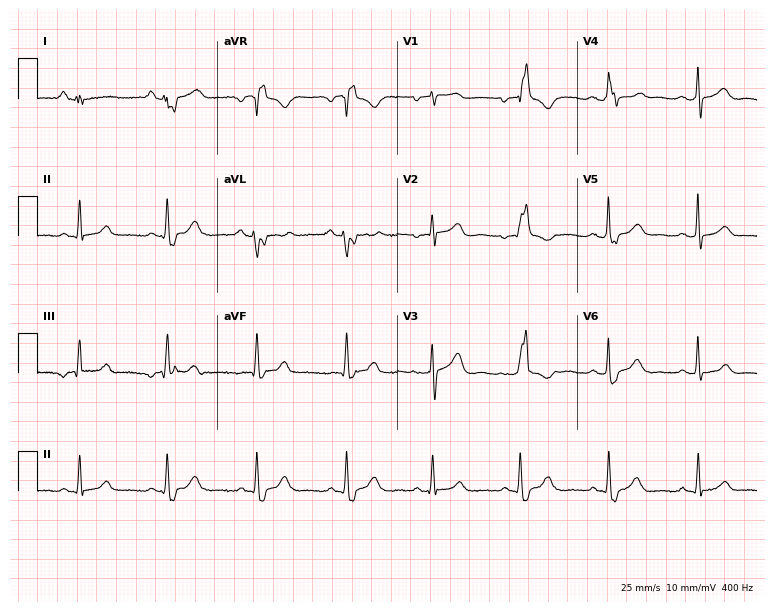
ECG (7.3-second recording at 400 Hz) — a female, 63 years old. Screened for six findings — first-degree AV block, right bundle branch block, left bundle branch block, sinus bradycardia, atrial fibrillation, sinus tachycardia — none is recorded.